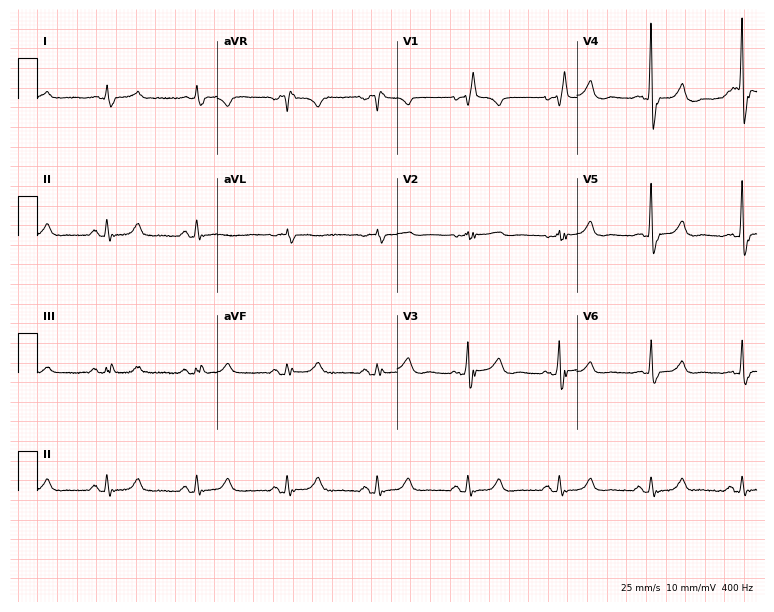
12-lead ECG (7.3-second recording at 400 Hz) from a female, 73 years old. Findings include right bundle branch block.